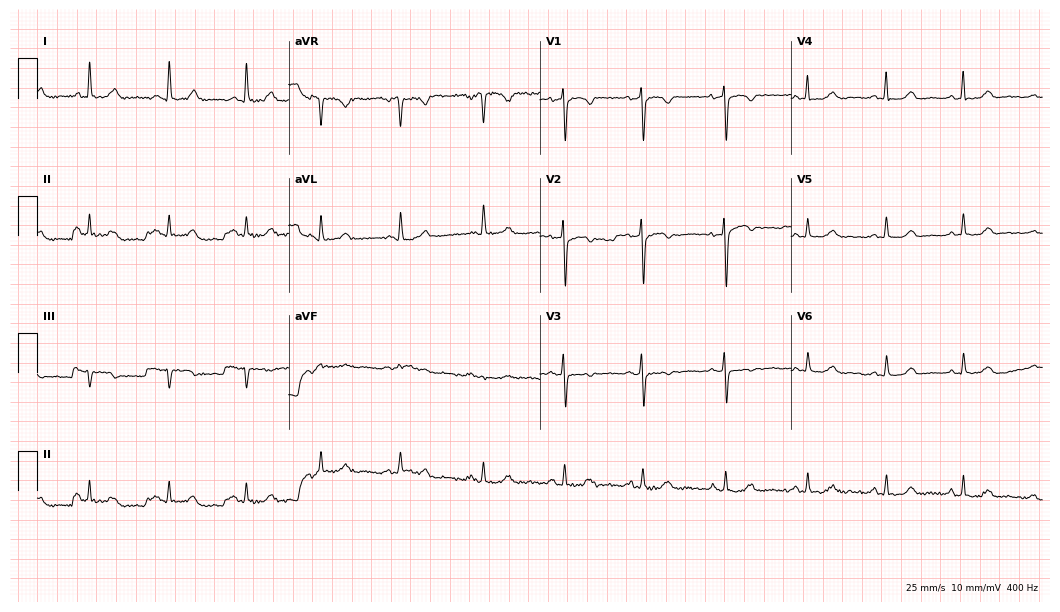
Resting 12-lead electrocardiogram. Patient: a 62-year-old woman. None of these six findings is recorded: first-degree AV block, right bundle branch block, left bundle branch block, sinus bradycardia, atrial fibrillation, sinus tachycardia. Only these six findings were labelled.